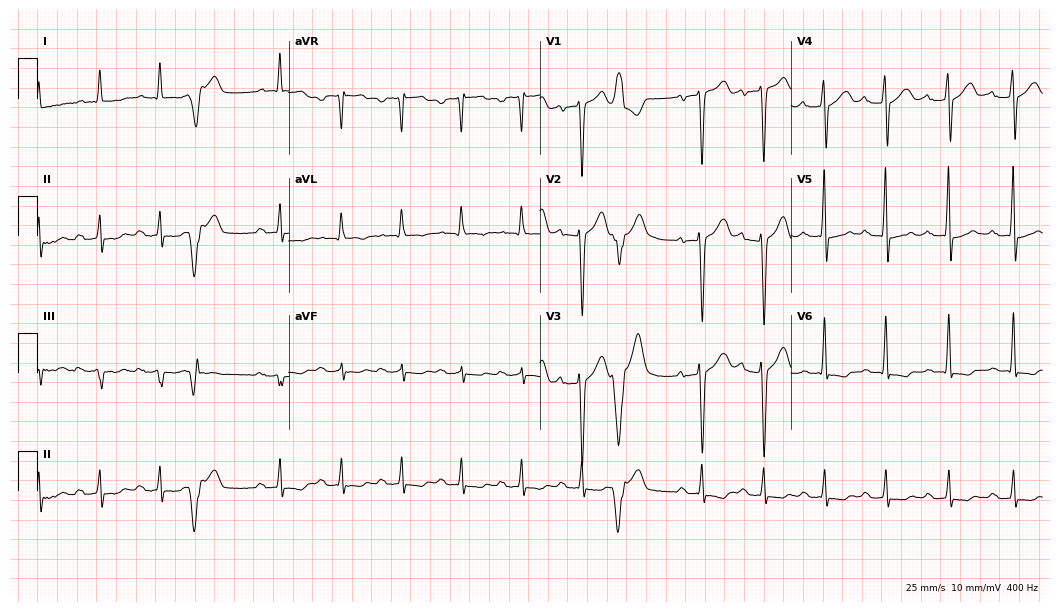
12-lead ECG from a 68-year-old male patient. No first-degree AV block, right bundle branch block, left bundle branch block, sinus bradycardia, atrial fibrillation or sinus tachycardia recorded for this tracing.